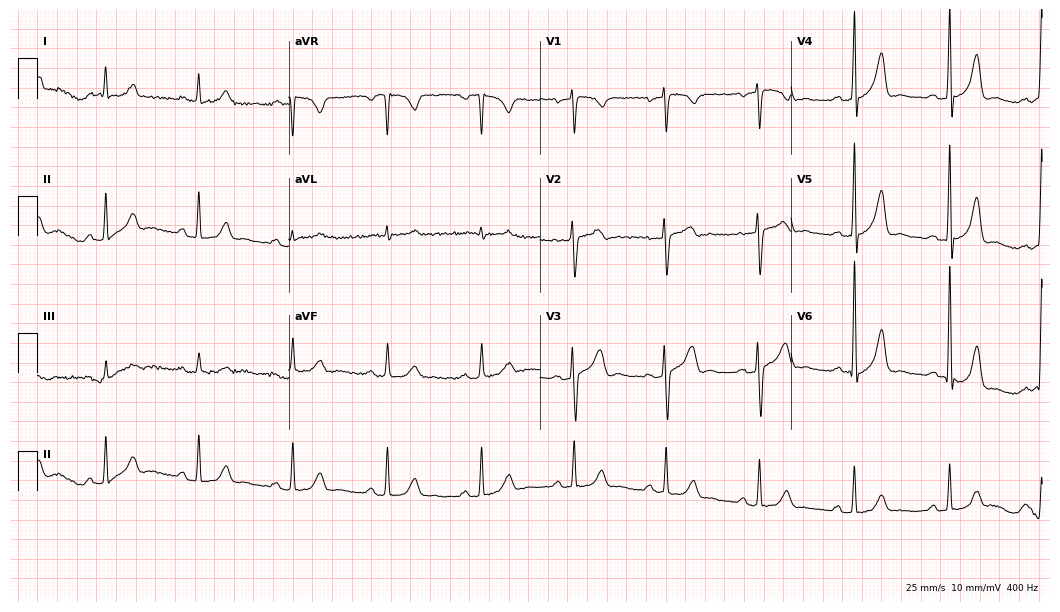
Electrocardiogram, a male patient, 62 years old. Overall reading on record: normal ECG.